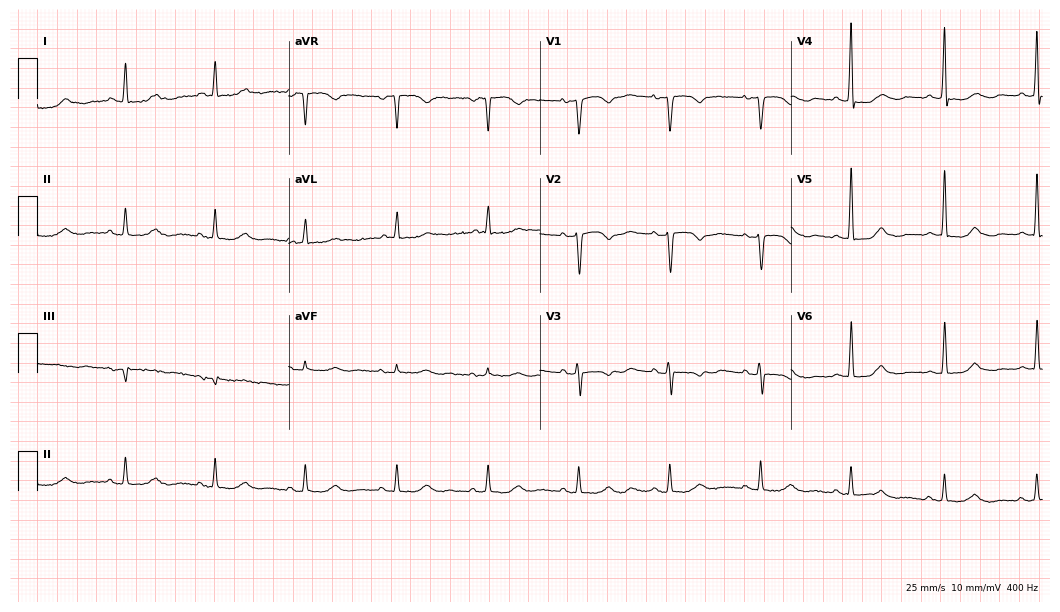
Electrocardiogram, a 72-year-old female. Overall reading on record: normal ECG.